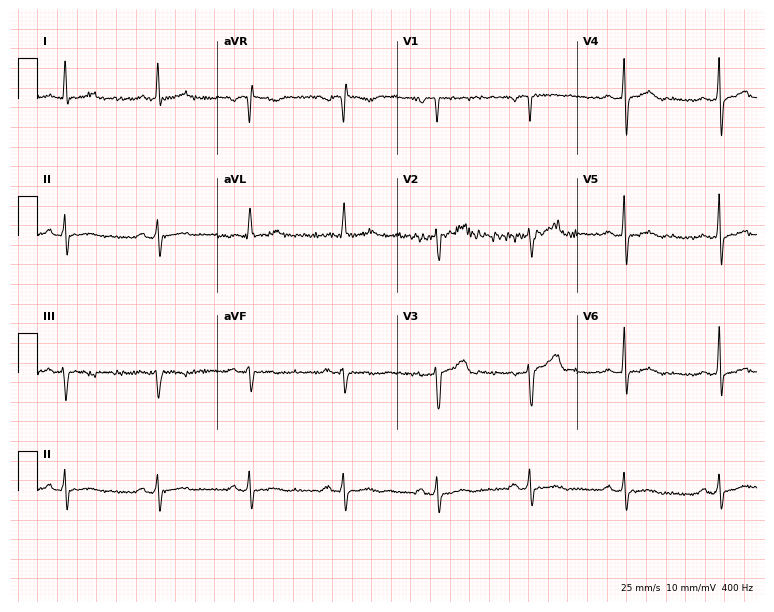
12-lead ECG (7.3-second recording at 400 Hz) from a male, 59 years old. Labelled as a normal ECG.